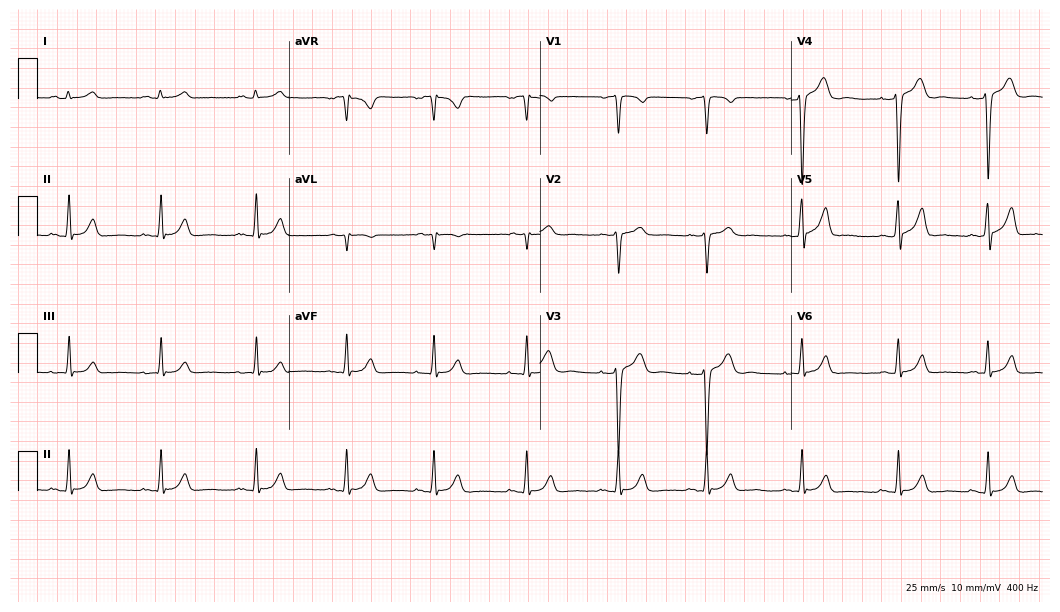
12-lead ECG (10.2-second recording at 400 Hz) from a man, 23 years old. Labelled as a normal ECG.